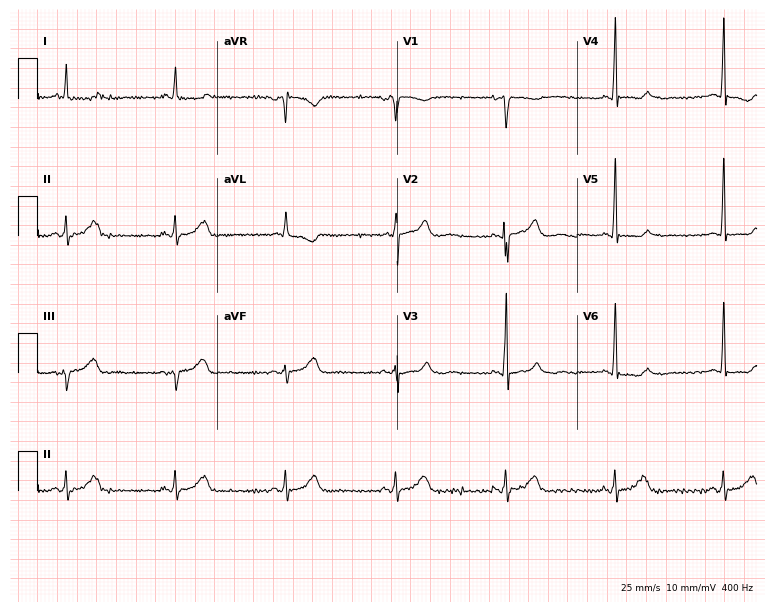
Electrocardiogram (7.3-second recording at 400 Hz), a male, 59 years old. Overall reading on record: normal ECG.